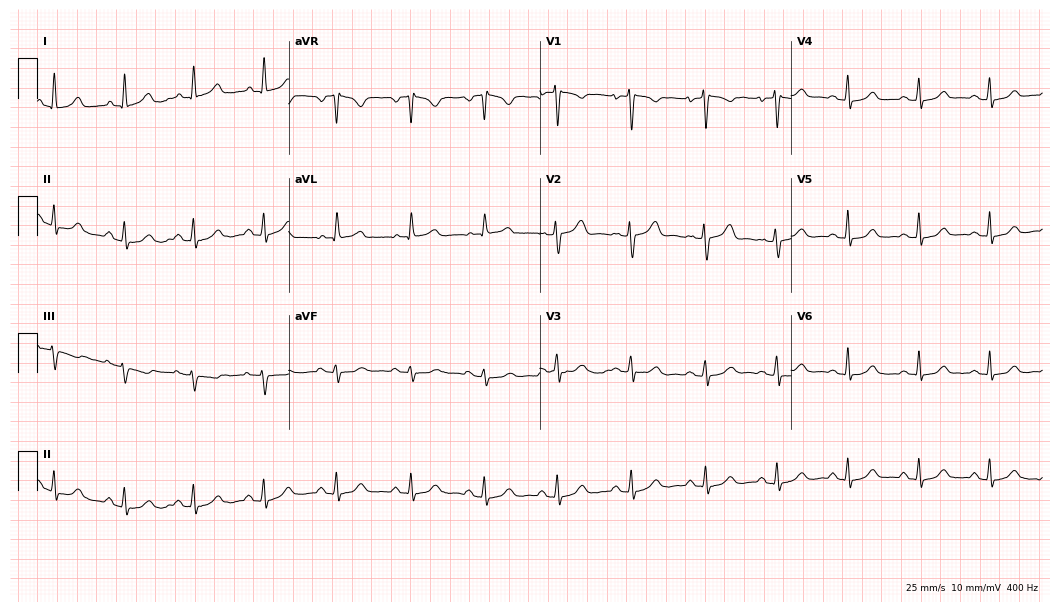
ECG (10.2-second recording at 400 Hz) — a 40-year-old woman. Labelled as a normal ECG.